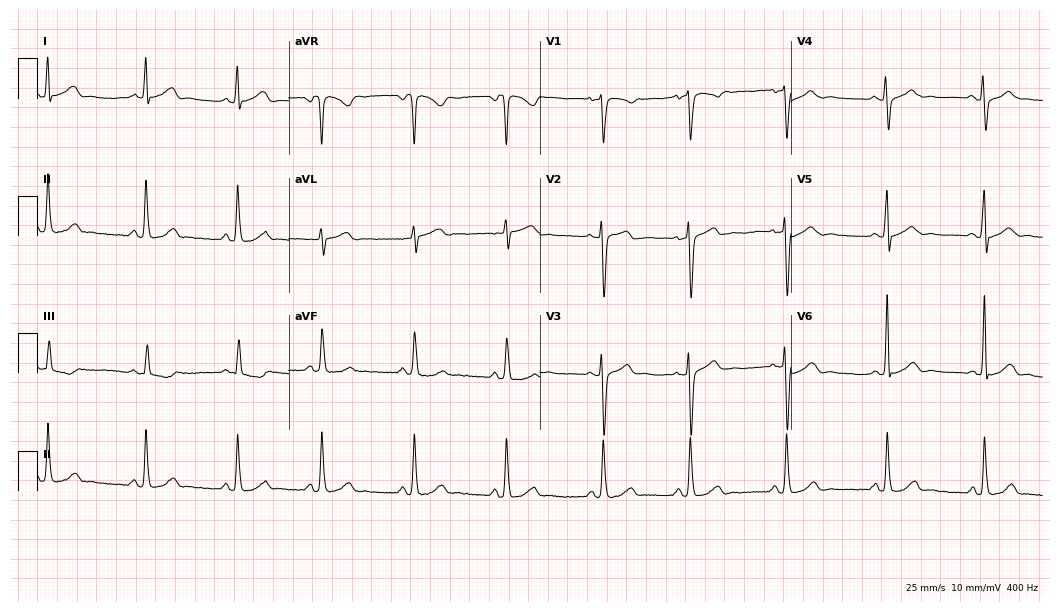
12-lead ECG (10.2-second recording at 400 Hz) from a female, 34 years old. Labelled as a normal ECG.